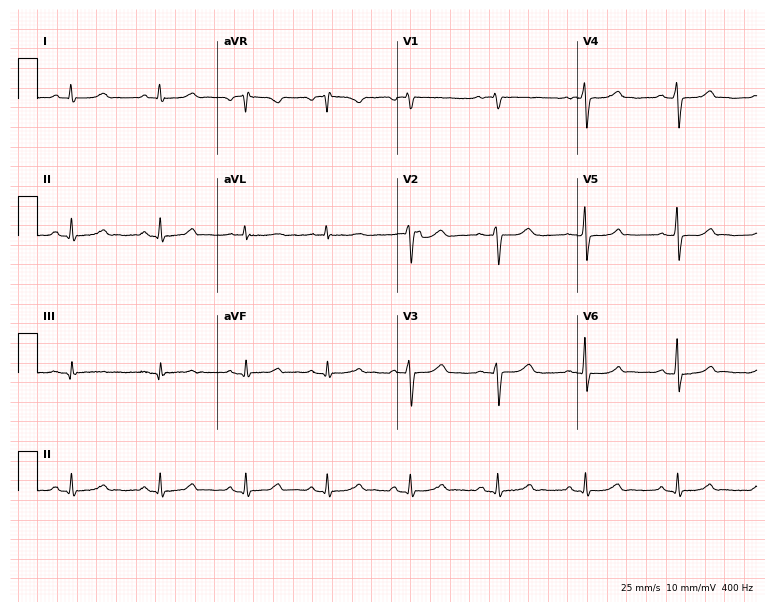
ECG — a female, 39 years old. Labelled as a normal ECG.